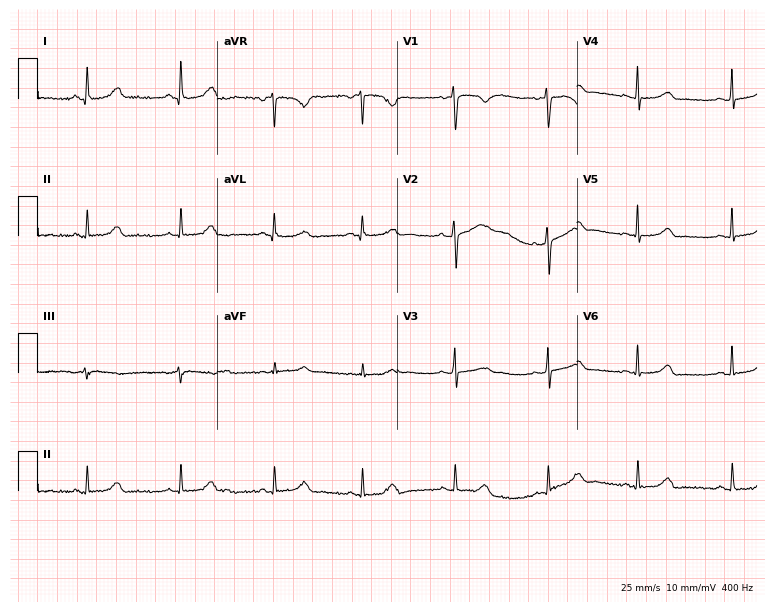
Standard 12-lead ECG recorded from a female, 31 years old (7.3-second recording at 400 Hz). Read as a normal ECG.